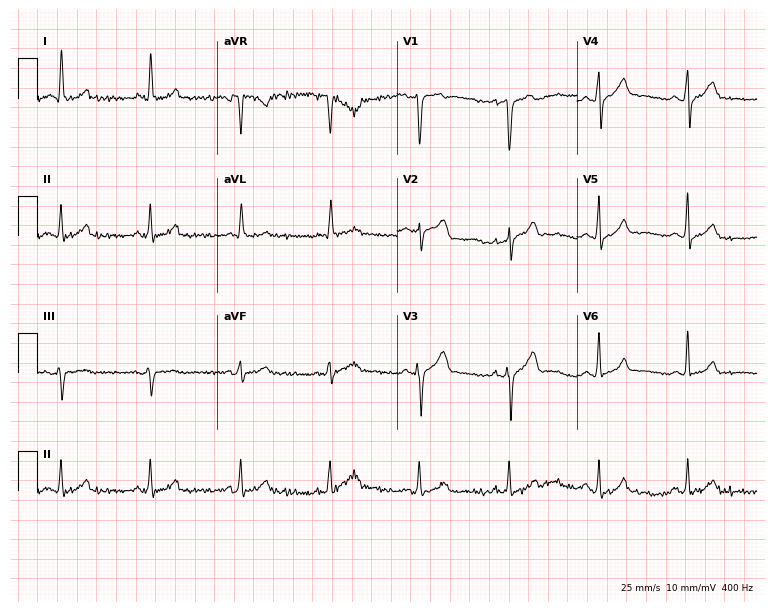
12-lead ECG (7.3-second recording at 400 Hz) from a 42-year-old male patient. Labelled as a normal ECG.